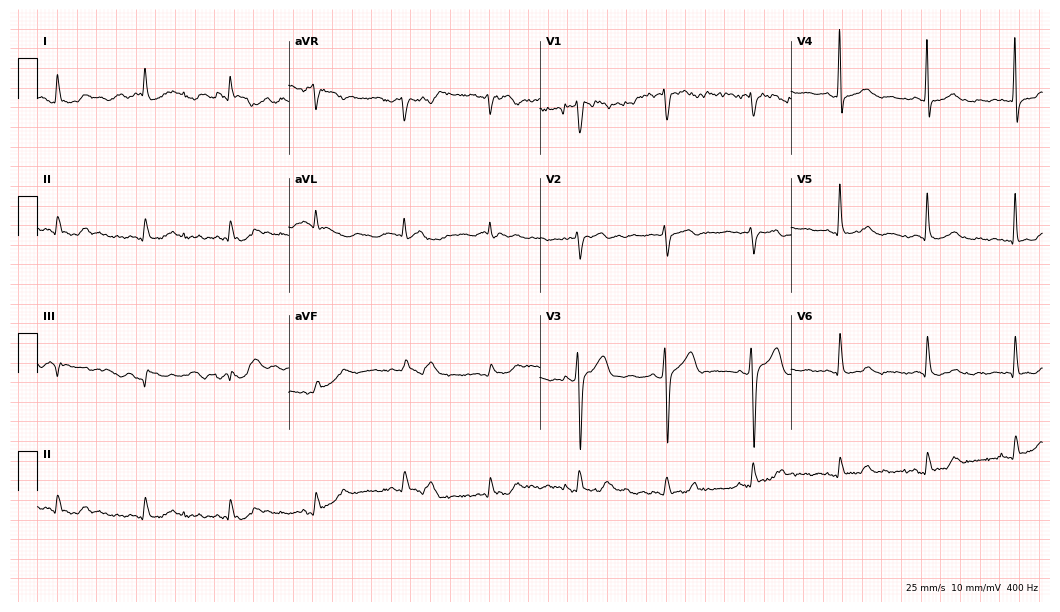
Electrocardiogram, a 66-year-old male patient. Of the six screened findings (first-degree AV block, right bundle branch block, left bundle branch block, sinus bradycardia, atrial fibrillation, sinus tachycardia), none is recorded.